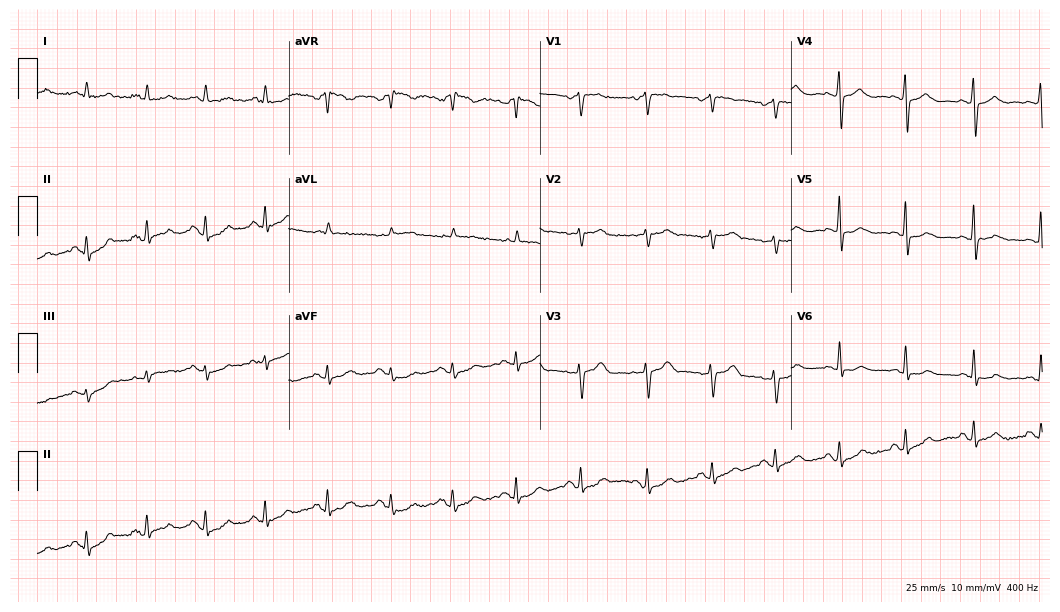
12-lead ECG from a 46-year-old female patient (10.2-second recording at 400 Hz). Recorded interpretation: within normal limits.